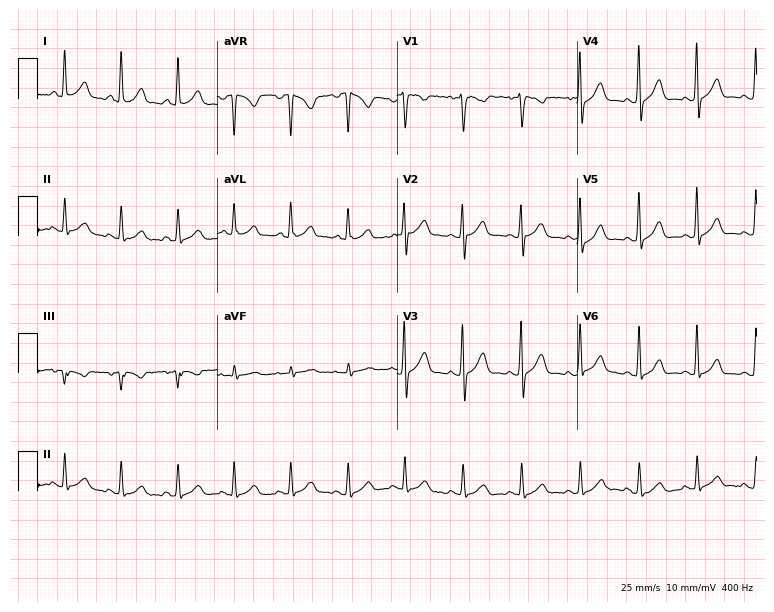
Electrocardiogram, a 28-year-old woman. Of the six screened findings (first-degree AV block, right bundle branch block, left bundle branch block, sinus bradycardia, atrial fibrillation, sinus tachycardia), none is recorded.